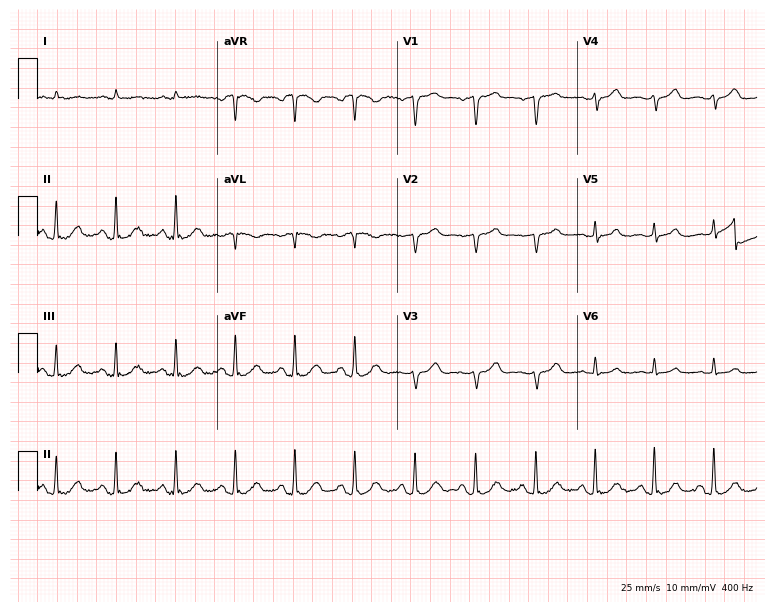
Standard 12-lead ECG recorded from a man, 84 years old. None of these six findings is recorded: first-degree AV block, right bundle branch block, left bundle branch block, sinus bradycardia, atrial fibrillation, sinus tachycardia.